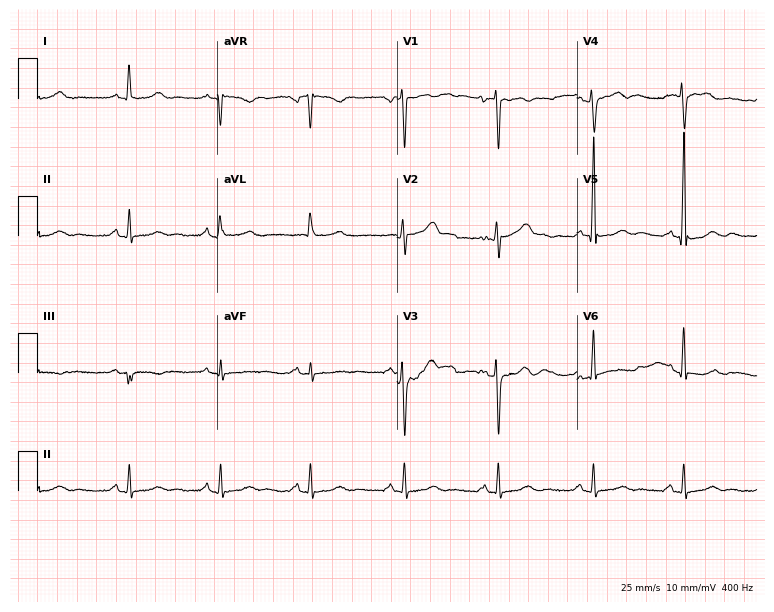
Electrocardiogram (7.3-second recording at 400 Hz), a female, 61 years old. Of the six screened findings (first-degree AV block, right bundle branch block, left bundle branch block, sinus bradycardia, atrial fibrillation, sinus tachycardia), none is recorded.